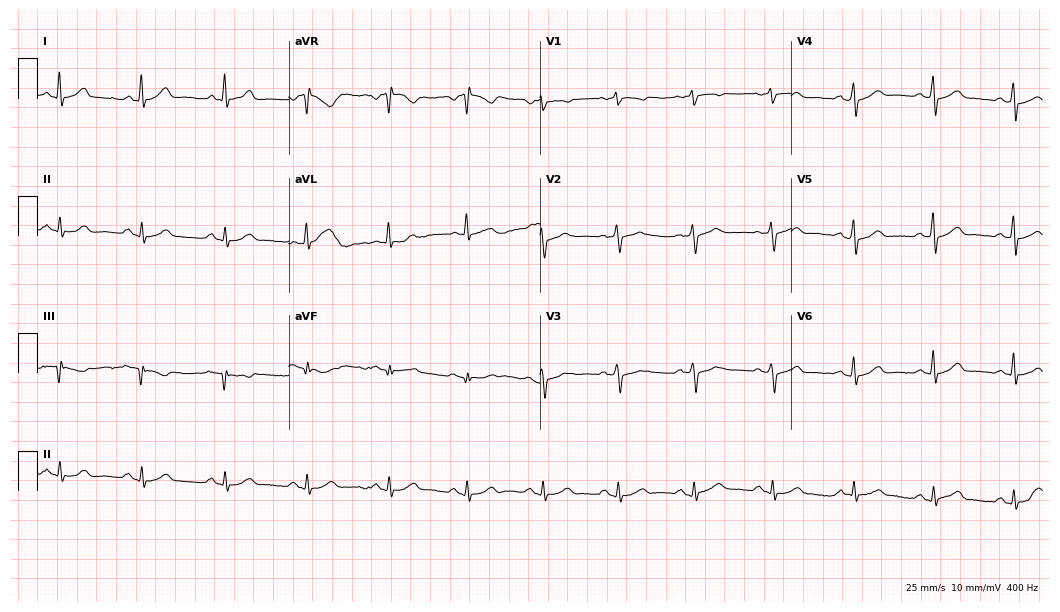
12-lead ECG from a 60-year-old female patient (10.2-second recording at 400 Hz). Recorded interpretation: within normal limits.